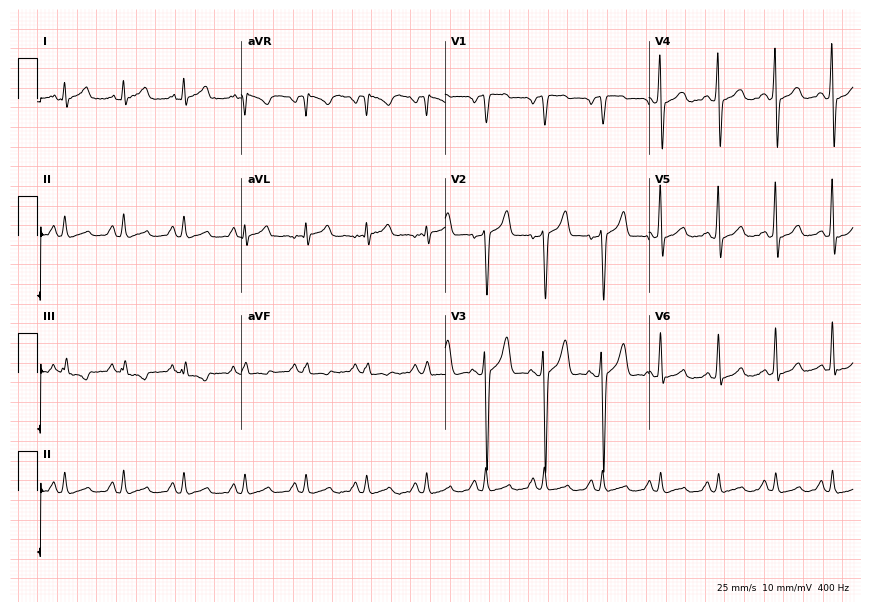
Standard 12-lead ECG recorded from a 51-year-old male. None of these six findings is recorded: first-degree AV block, right bundle branch block, left bundle branch block, sinus bradycardia, atrial fibrillation, sinus tachycardia.